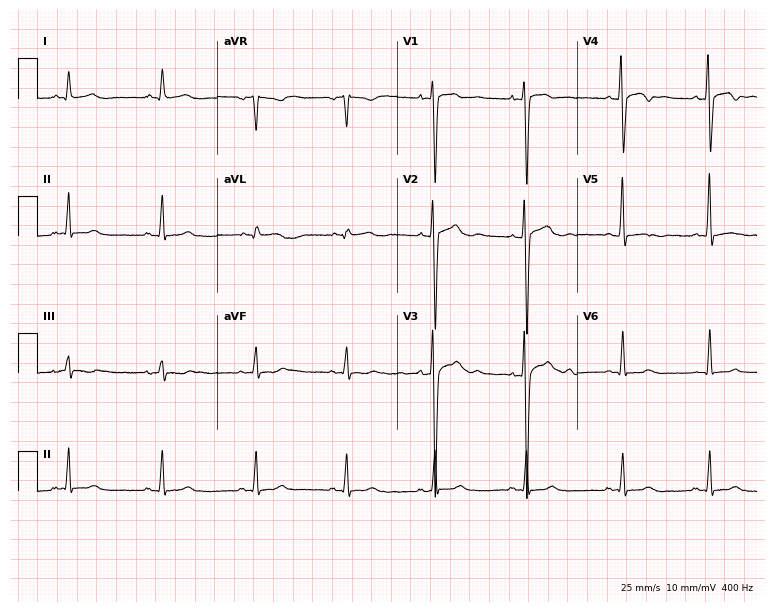
12-lead ECG from a 19-year-old male. Labelled as a normal ECG.